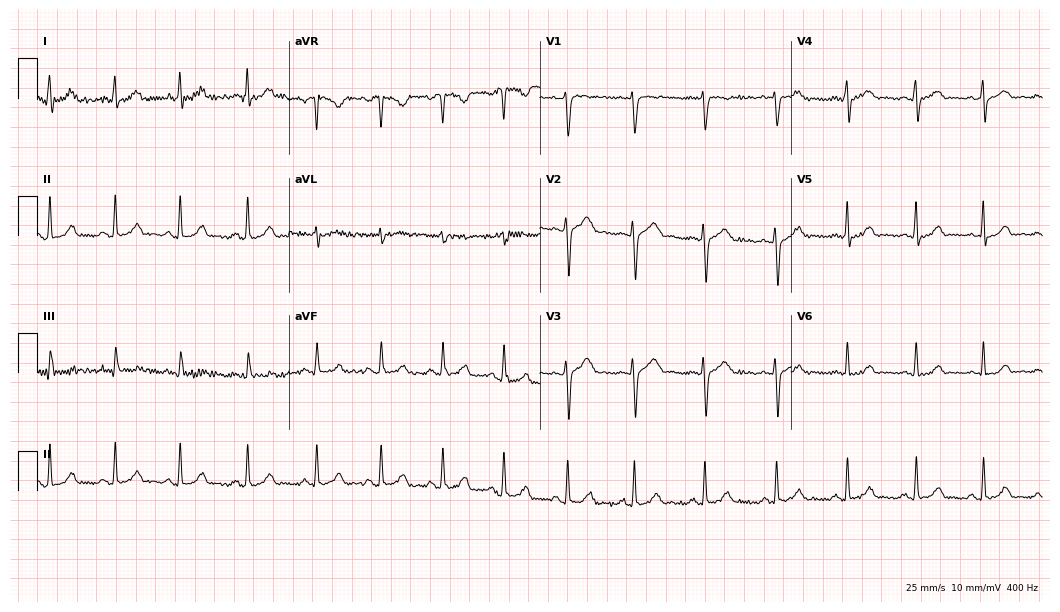
Resting 12-lead electrocardiogram. Patient: a 29-year-old female. Read as a normal ECG.